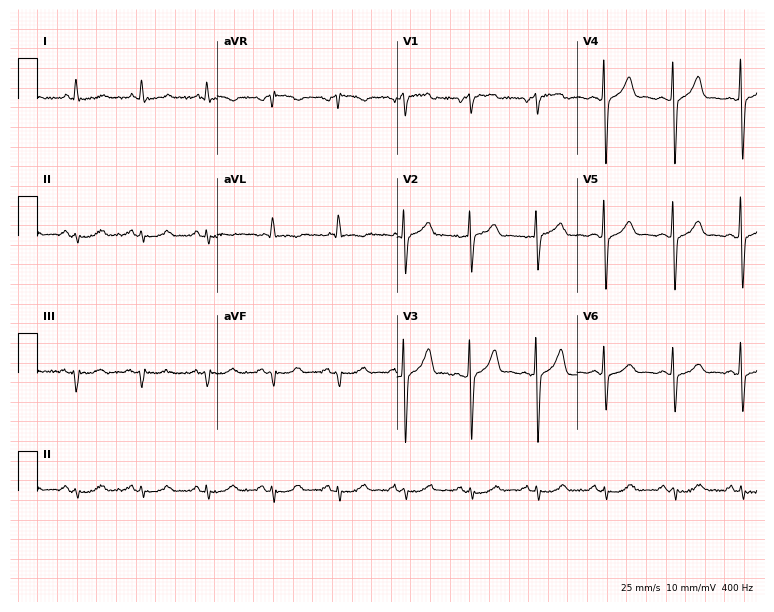
Standard 12-lead ECG recorded from a 73-year-old man (7.3-second recording at 400 Hz). None of these six findings is recorded: first-degree AV block, right bundle branch block, left bundle branch block, sinus bradycardia, atrial fibrillation, sinus tachycardia. Other findings, if any, are not listed.